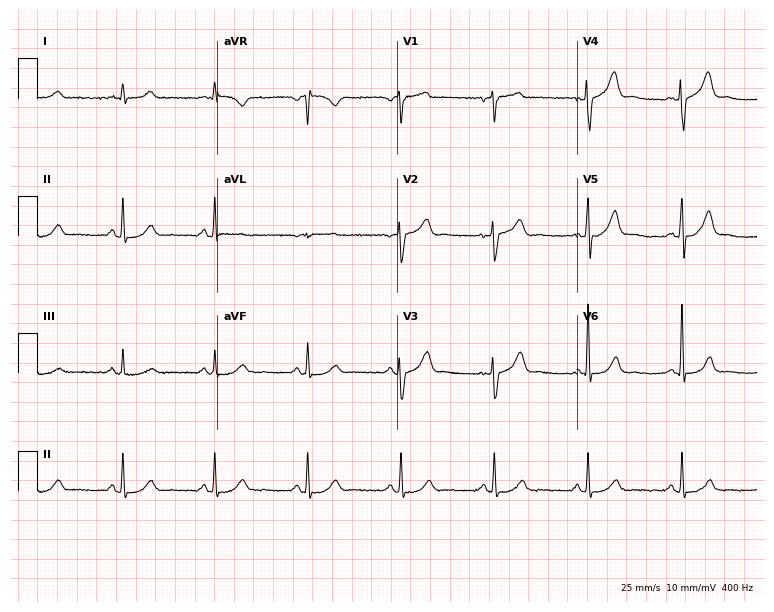
12-lead ECG from a male patient, 58 years old. Labelled as a normal ECG.